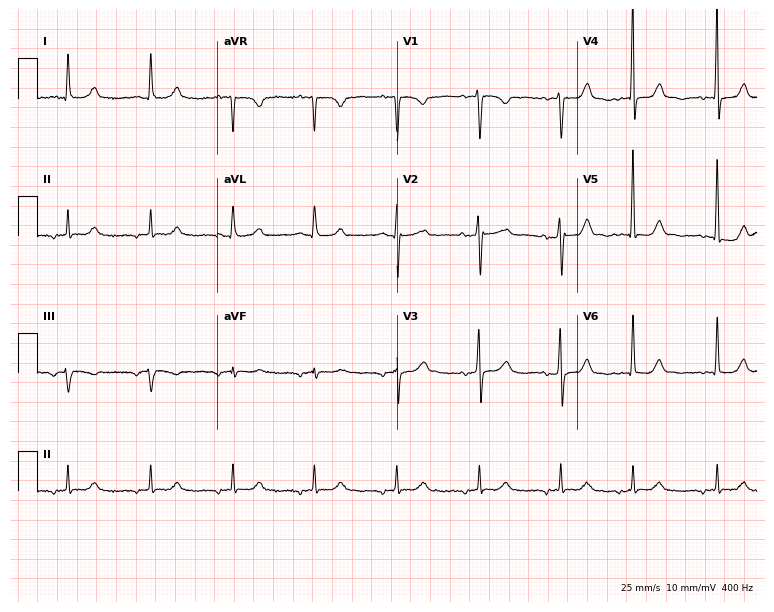
12-lead ECG from a 78-year-old female patient. Screened for six findings — first-degree AV block, right bundle branch block (RBBB), left bundle branch block (LBBB), sinus bradycardia, atrial fibrillation (AF), sinus tachycardia — none is recorded. Findings outside these six are not listed.